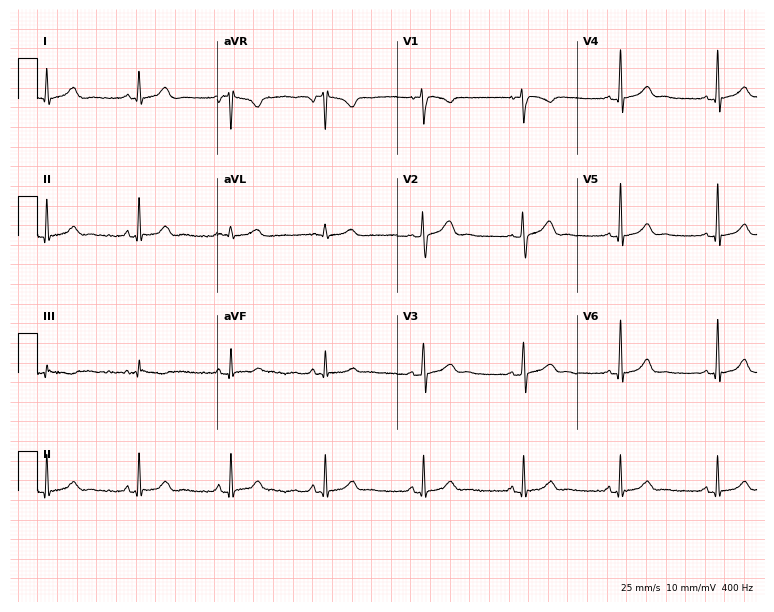
12-lead ECG from a 20-year-old man. Recorded interpretation: within normal limits.